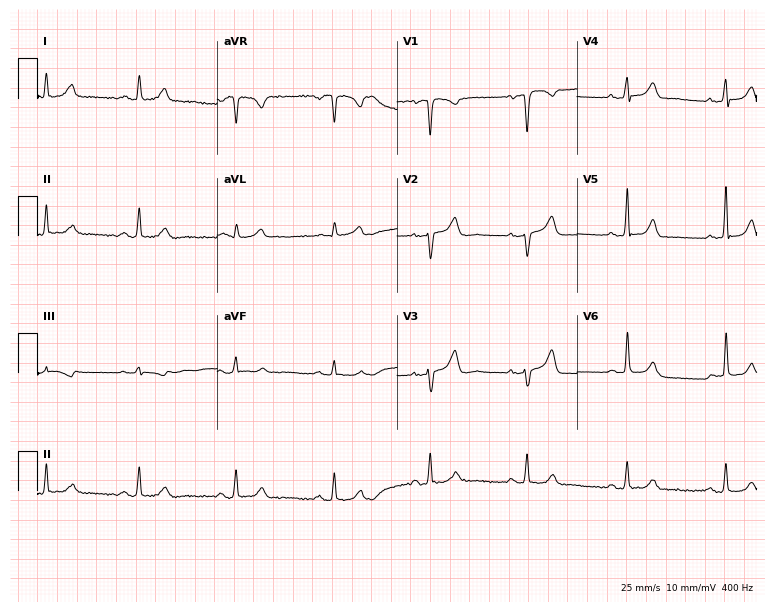
ECG — a female, 51 years old. Screened for six findings — first-degree AV block, right bundle branch block, left bundle branch block, sinus bradycardia, atrial fibrillation, sinus tachycardia — none is recorded. Other findings, if any, are not listed.